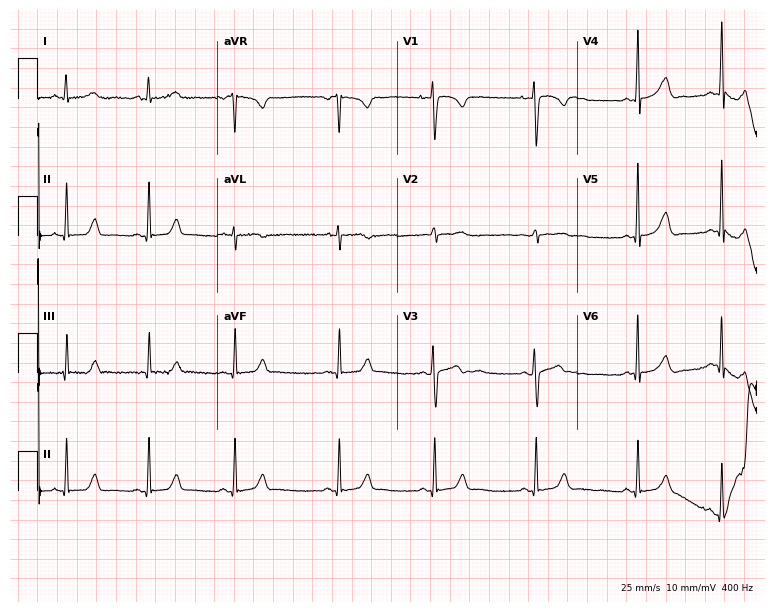
12-lead ECG from a woman, 20 years old (7.3-second recording at 400 Hz). Recorded interpretation: within normal limits.